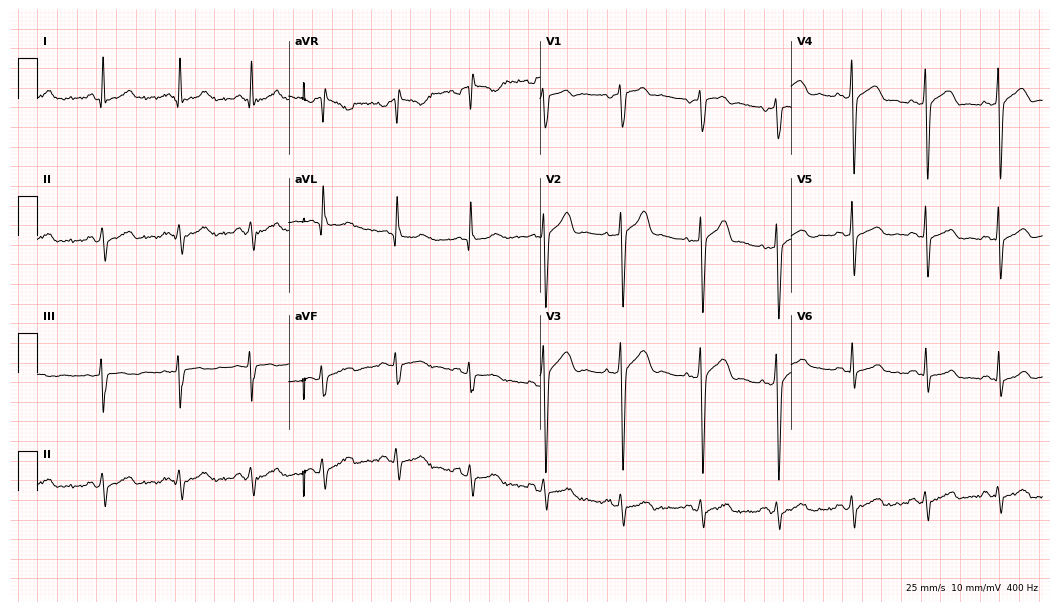
Standard 12-lead ECG recorded from a man, 42 years old (10.2-second recording at 400 Hz). None of these six findings is recorded: first-degree AV block, right bundle branch block (RBBB), left bundle branch block (LBBB), sinus bradycardia, atrial fibrillation (AF), sinus tachycardia. Other findings, if any, are not listed.